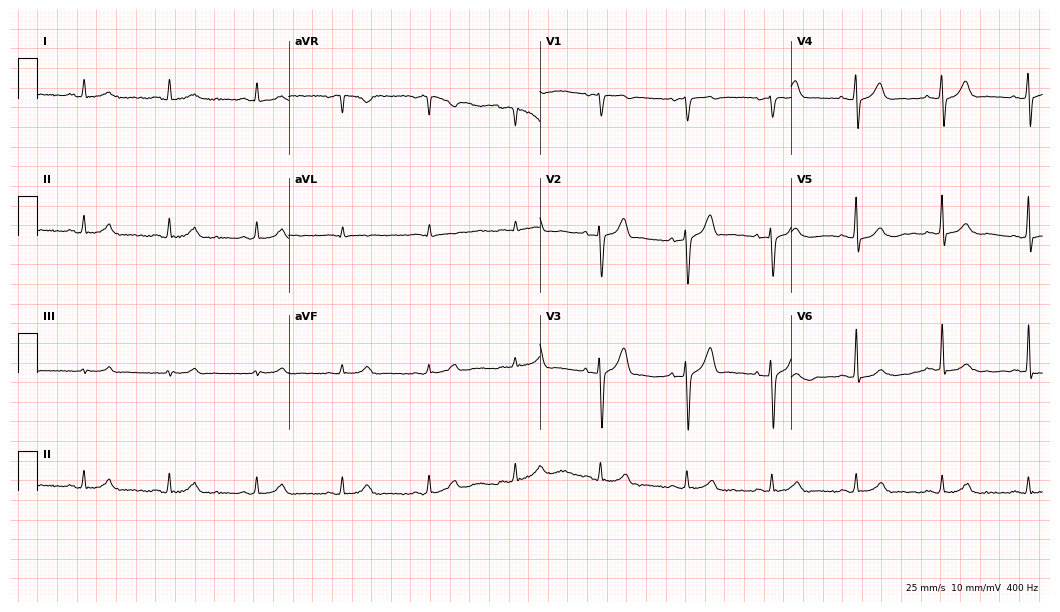
12-lead ECG from a male patient, 41 years old (10.2-second recording at 400 Hz). Recorded interpretation: within normal limits.